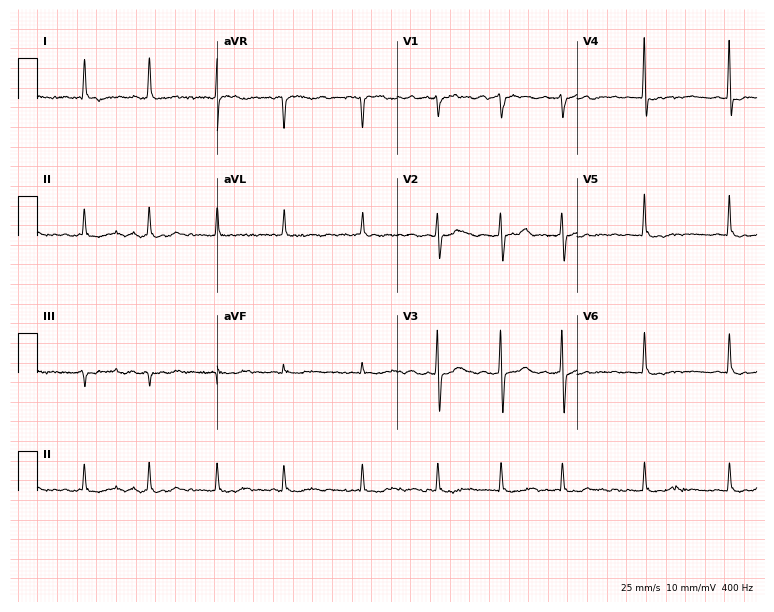
12-lead ECG from an 85-year-old woman. Findings include atrial fibrillation.